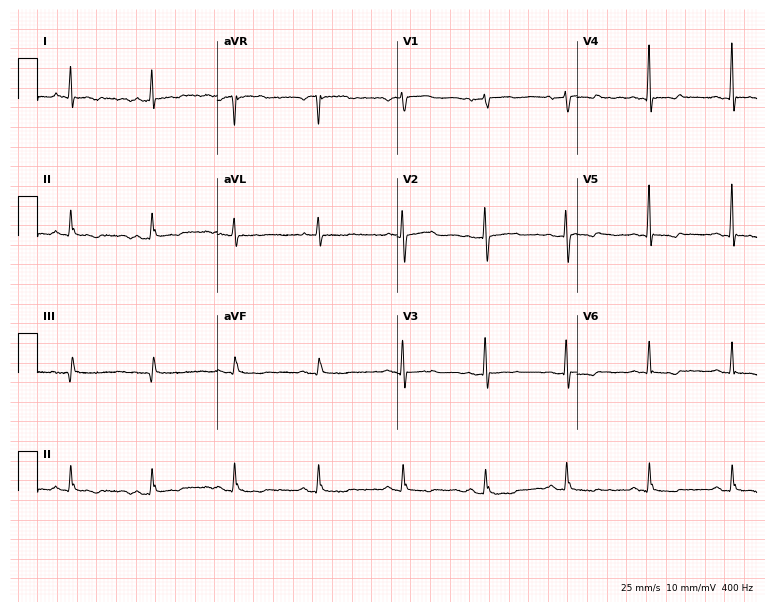
ECG — a female patient, 62 years old. Labelled as a normal ECG.